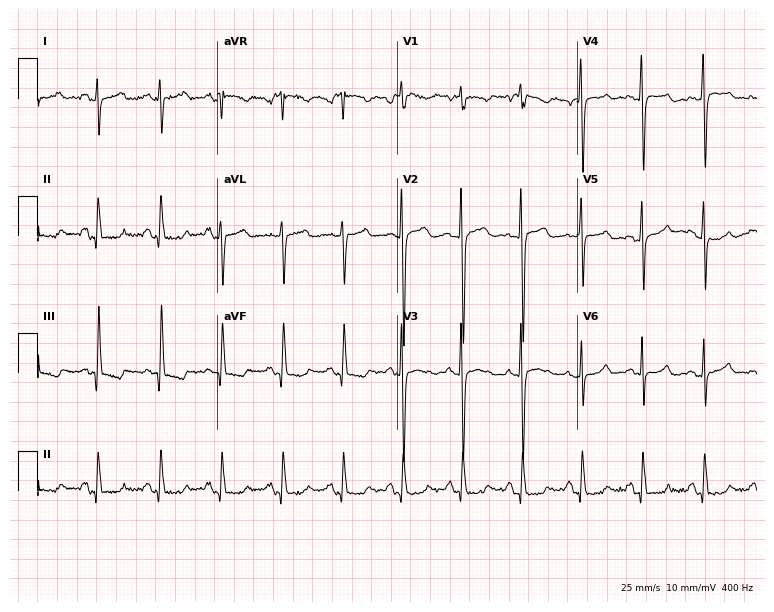
12-lead ECG from a man, 29 years old (7.3-second recording at 400 Hz). Recorded interpretation: within normal limits.